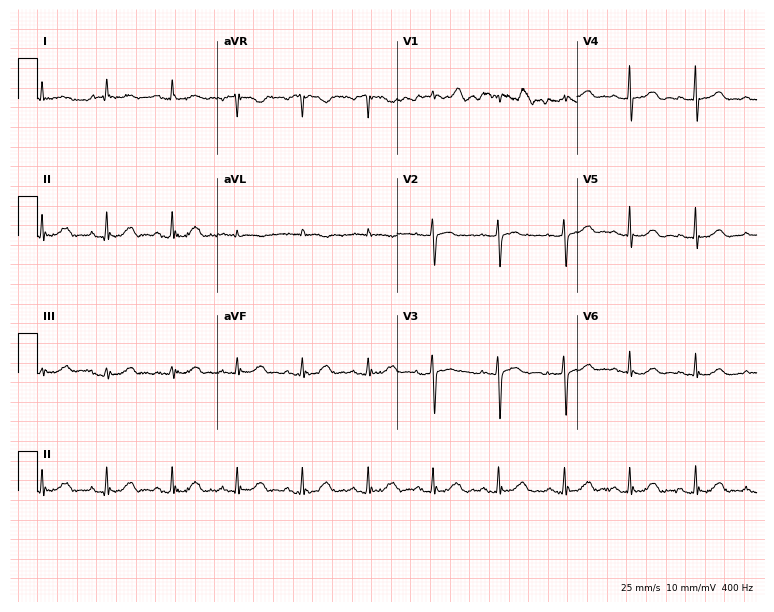
Electrocardiogram, a 72-year-old female patient. Overall reading on record: normal ECG.